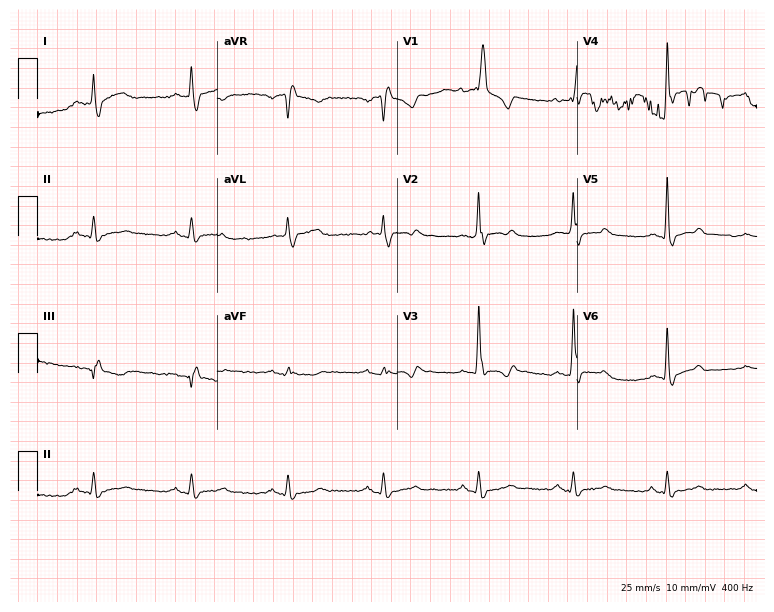
12-lead ECG from a 73-year-old male patient (7.3-second recording at 400 Hz). Shows right bundle branch block (RBBB).